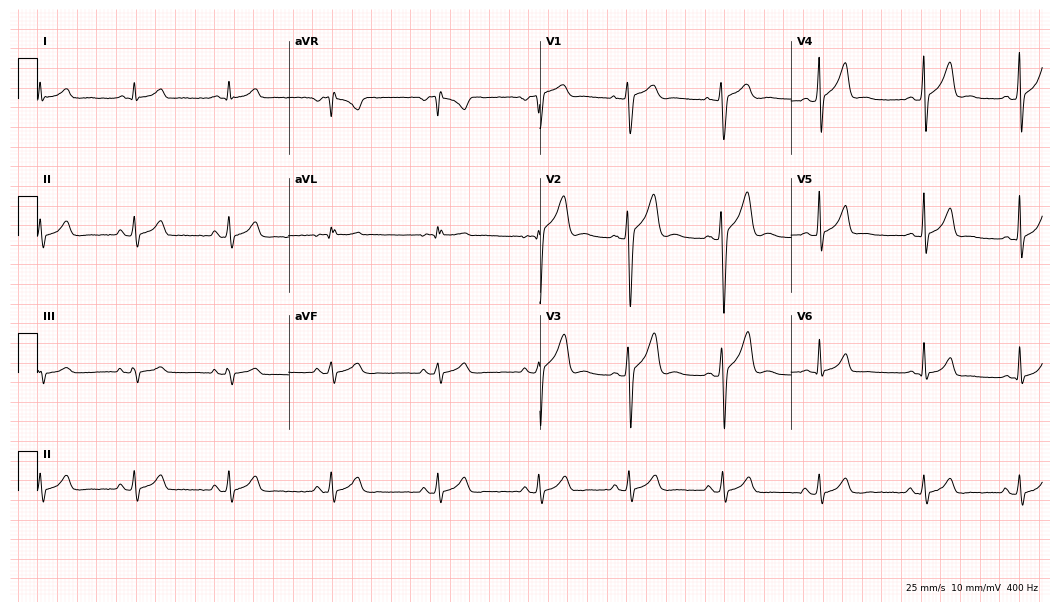
Standard 12-lead ECG recorded from a male patient, 18 years old (10.2-second recording at 400 Hz). Read as a normal ECG.